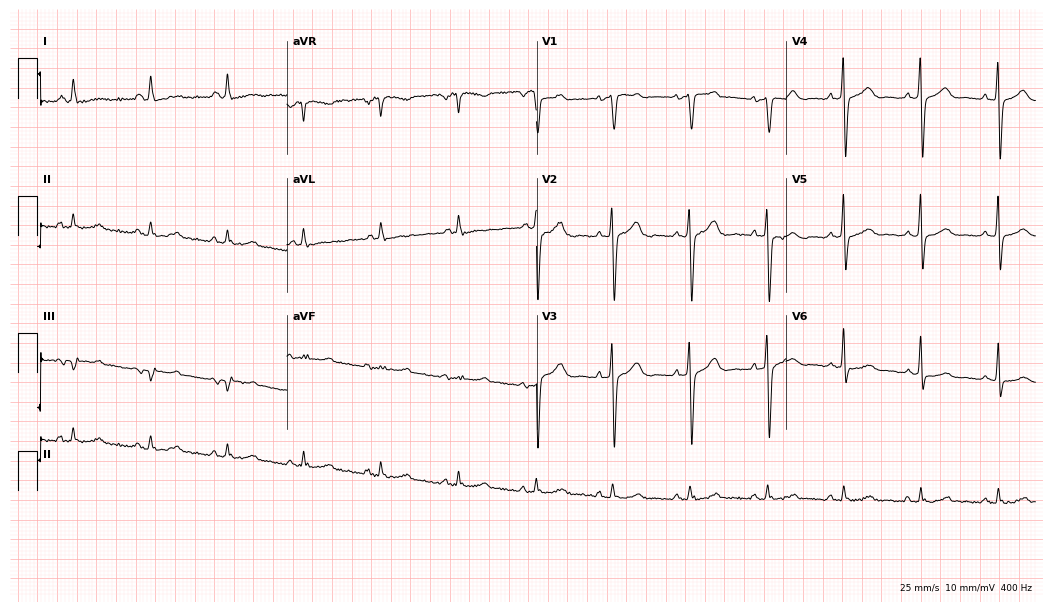
Electrocardiogram, a 64-year-old woman. Overall reading on record: normal ECG.